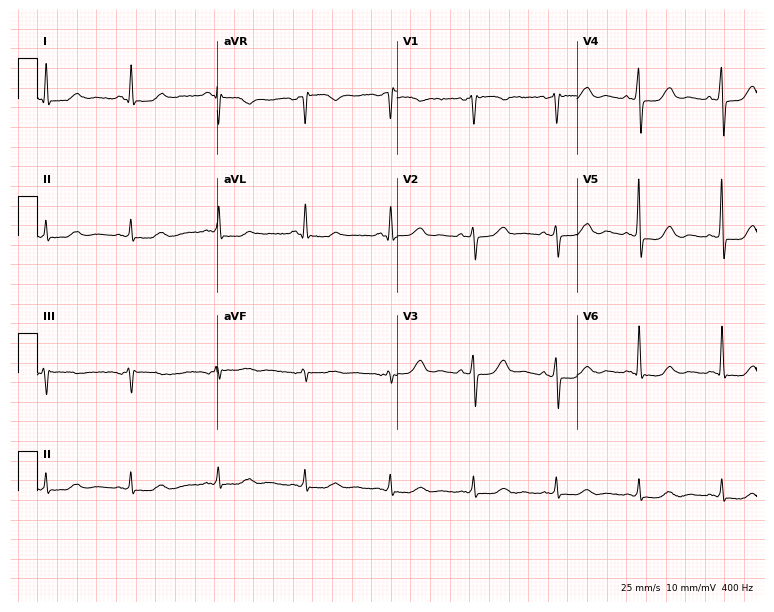
Standard 12-lead ECG recorded from a 63-year-old woman. None of these six findings is recorded: first-degree AV block, right bundle branch block (RBBB), left bundle branch block (LBBB), sinus bradycardia, atrial fibrillation (AF), sinus tachycardia.